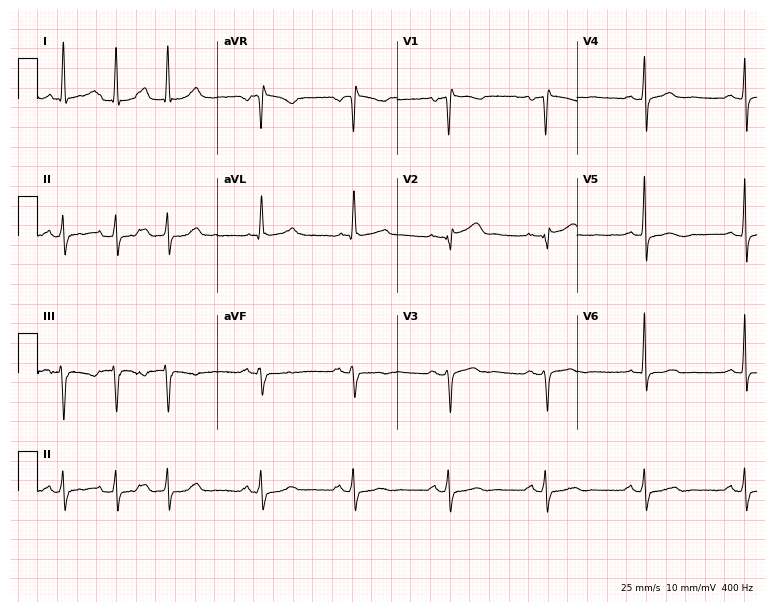
12-lead ECG from a 55-year-old female. No first-degree AV block, right bundle branch block, left bundle branch block, sinus bradycardia, atrial fibrillation or sinus tachycardia recorded for this tracing.